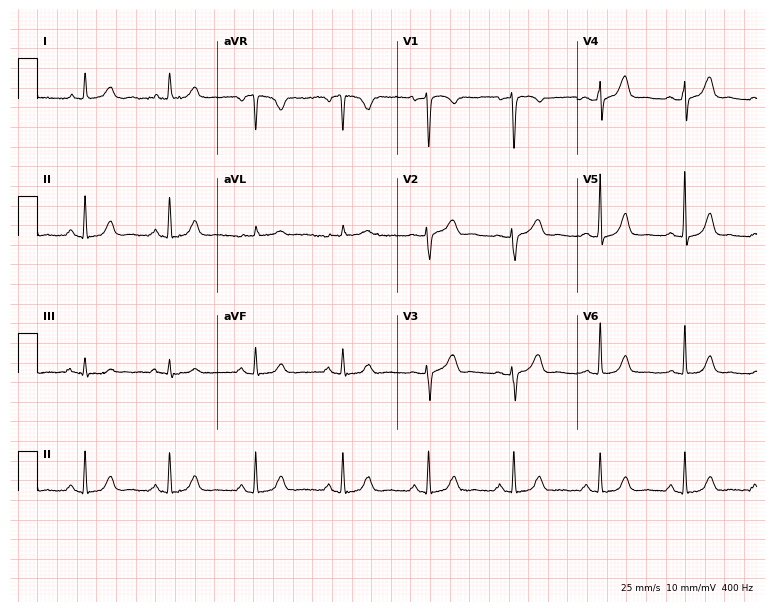
Standard 12-lead ECG recorded from a female patient, 49 years old. Read as a normal ECG.